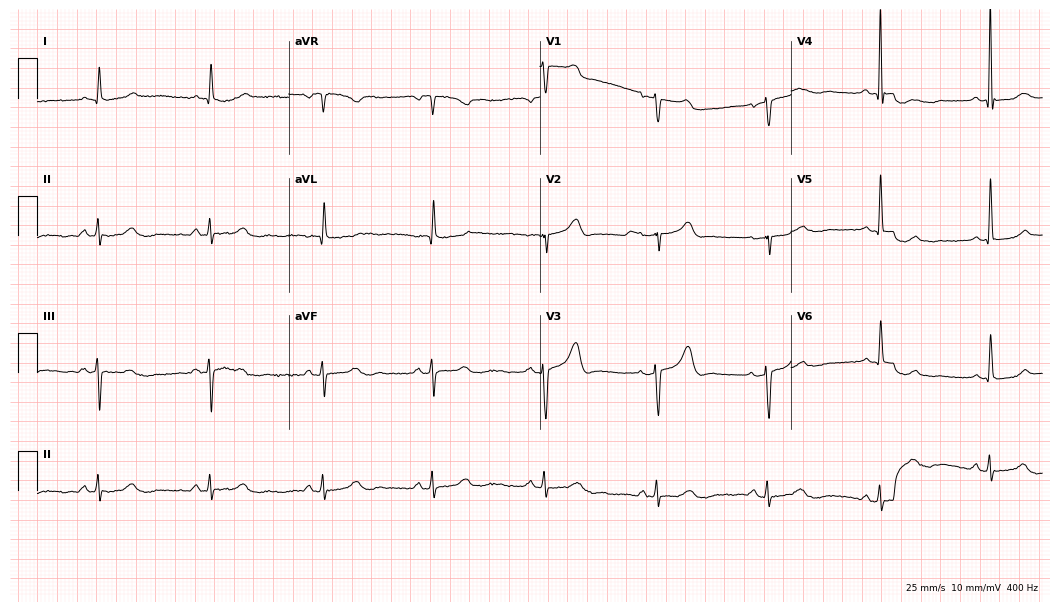
12-lead ECG (10.2-second recording at 400 Hz) from a female, 83 years old. Screened for six findings — first-degree AV block, right bundle branch block, left bundle branch block, sinus bradycardia, atrial fibrillation, sinus tachycardia — none is recorded.